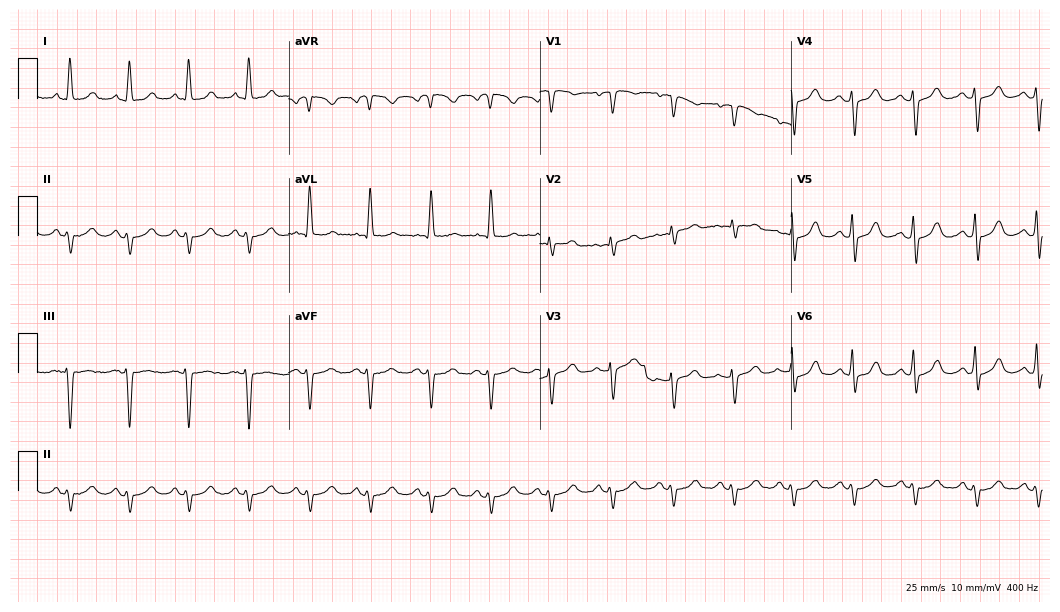
ECG — a 79-year-old woman. Screened for six findings — first-degree AV block, right bundle branch block, left bundle branch block, sinus bradycardia, atrial fibrillation, sinus tachycardia — none is recorded.